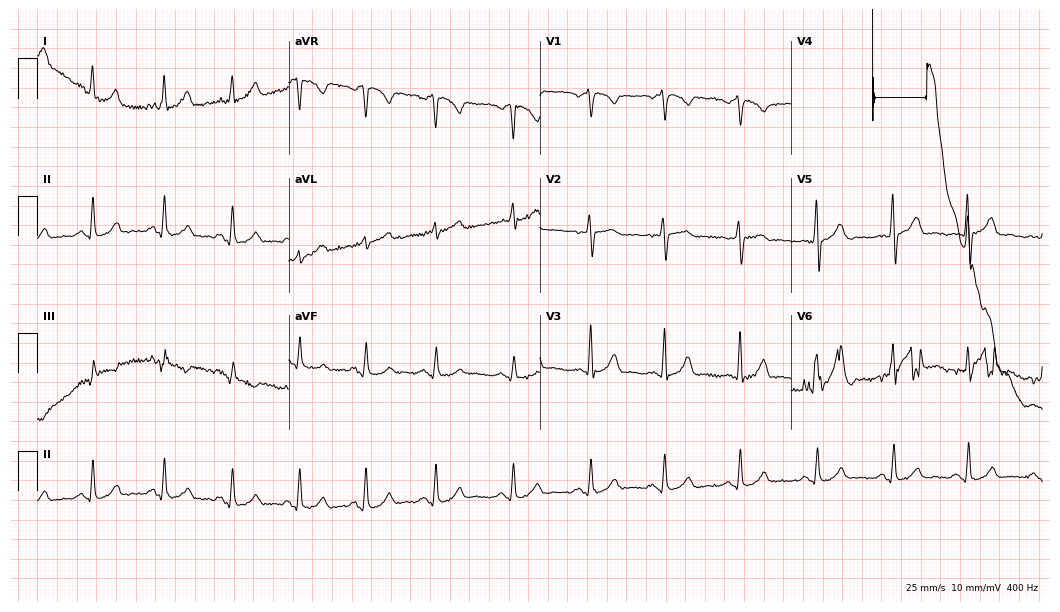
Electrocardiogram, a 30-year-old female. Of the six screened findings (first-degree AV block, right bundle branch block, left bundle branch block, sinus bradycardia, atrial fibrillation, sinus tachycardia), none is recorded. Other findings, if any, are not listed.